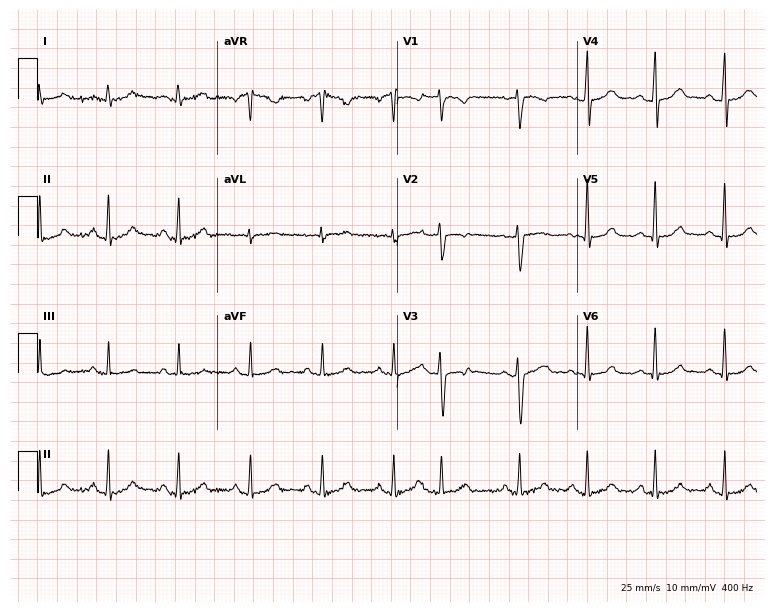
12-lead ECG from a female patient, 31 years old. Screened for six findings — first-degree AV block, right bundle branch block, left bundle branch block, sinus bradycardia, atrial fibrillation, sinus tachycardia — none is recorded.